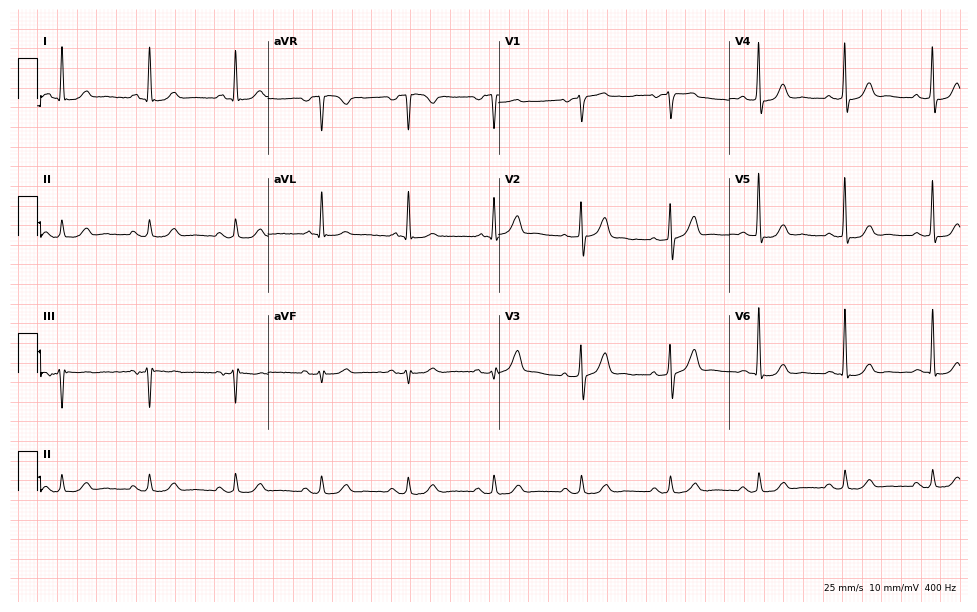
12-lead ECG from a 67-year-old male. Recorded interpretation: within normal limits.